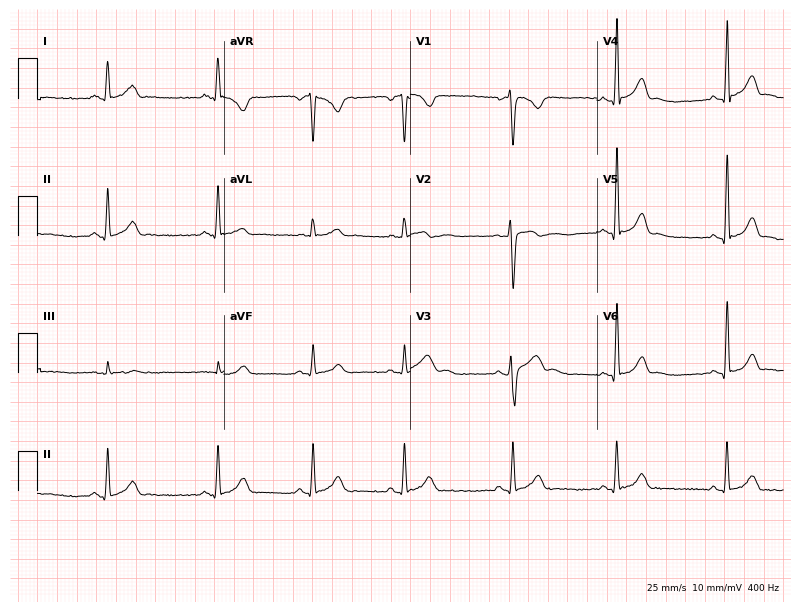
12-lead ECG (7.6-second recording at 400 Hz) from a male, 26 years old. Labelled as a normal ECG.